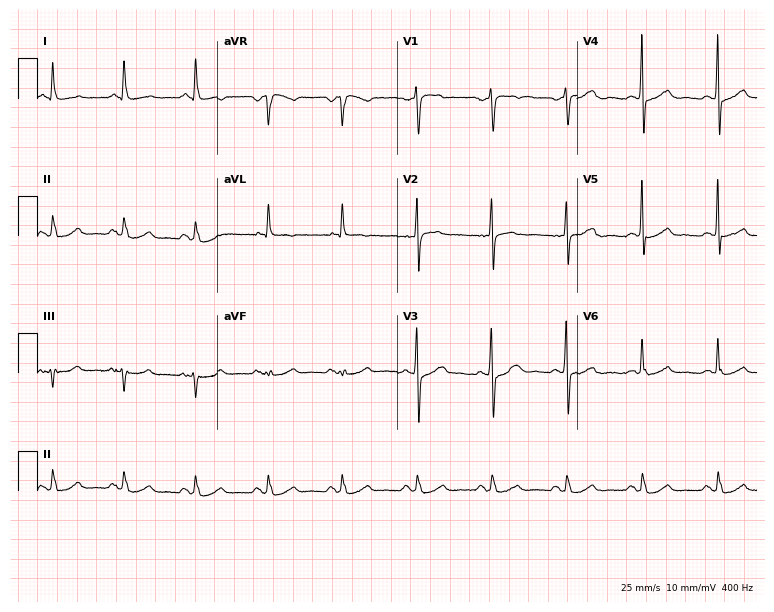
Electrocardiogram, a 63-year-old man. Overall reading on record: normal ECG.